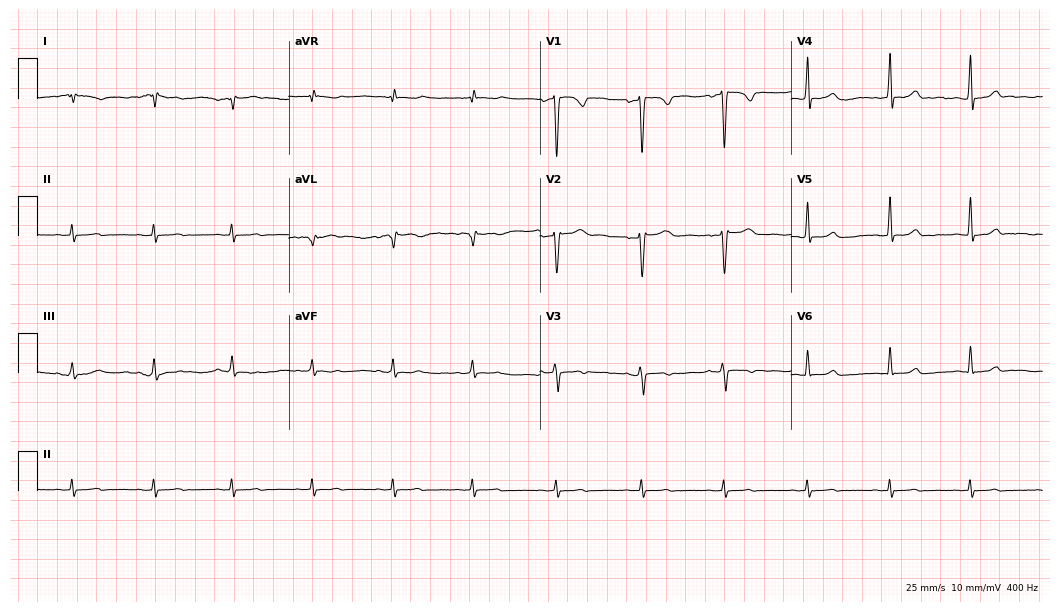
Electrocardiogram, a female, 52 years old. Of the six screened findings (first-degree AV block, right bundle branch block, left bundle branch block, sinus bradycardia, atrial fibrillation, sinus tachycardia), none is recorded.